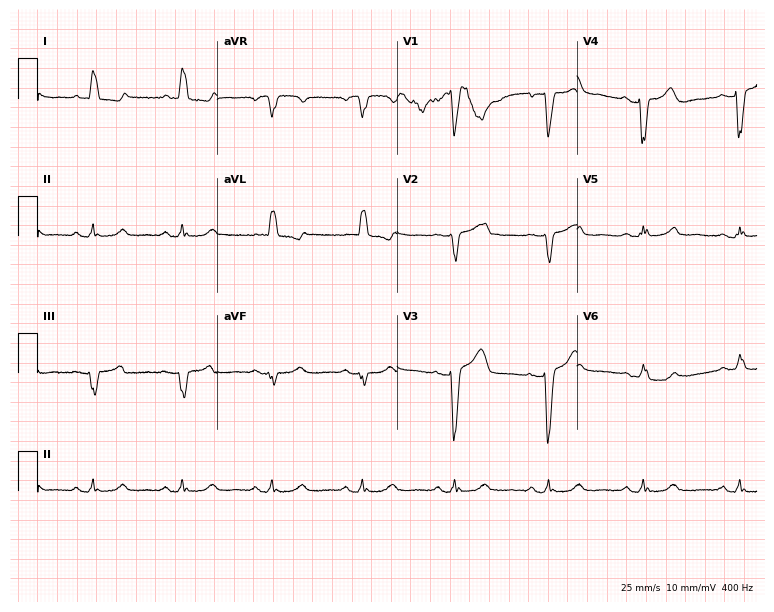
12-lead ECG (7.3-second recording at 400 Hz) from an 81-year-old female patient. Findings include left bundle branch block.